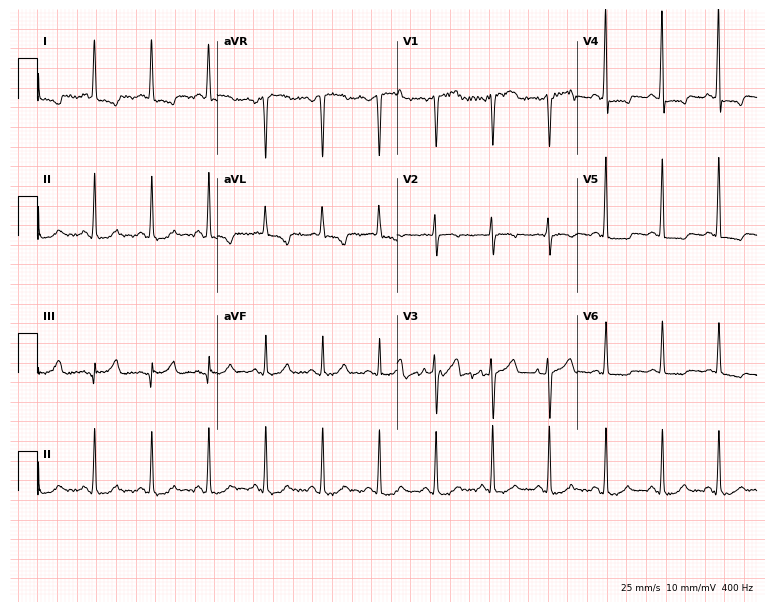
Standard 12-lead ECG recorded from a 70-year-old female patient. None of these six findings is recorded: first-degree AV block, right bundle branch block, left bundle branch block, sinus bradycardia, atrial fibrillation, sinus tachycardia. Only these six findings were labelled.